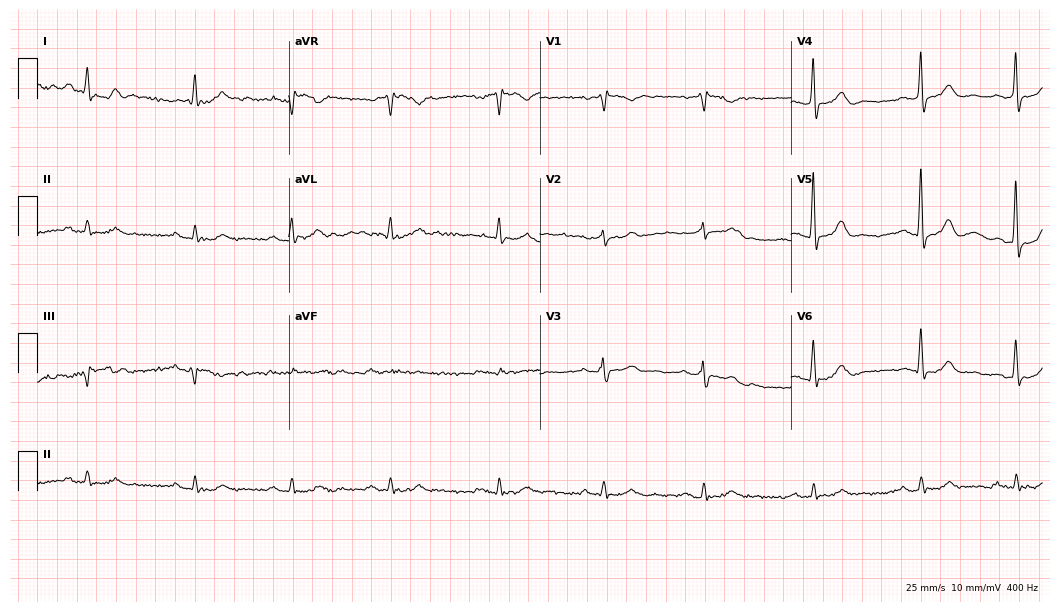
Resting 12-lead electrocardiogram (10.2-second recording at 400 Hz). Patient: a man, 80 years old. None of these six findings is recorded: first-degree AV block, right bundle branch block, left bundle branch block, sinus bradycardia, atrial fibrillation, sinus tachycardia.